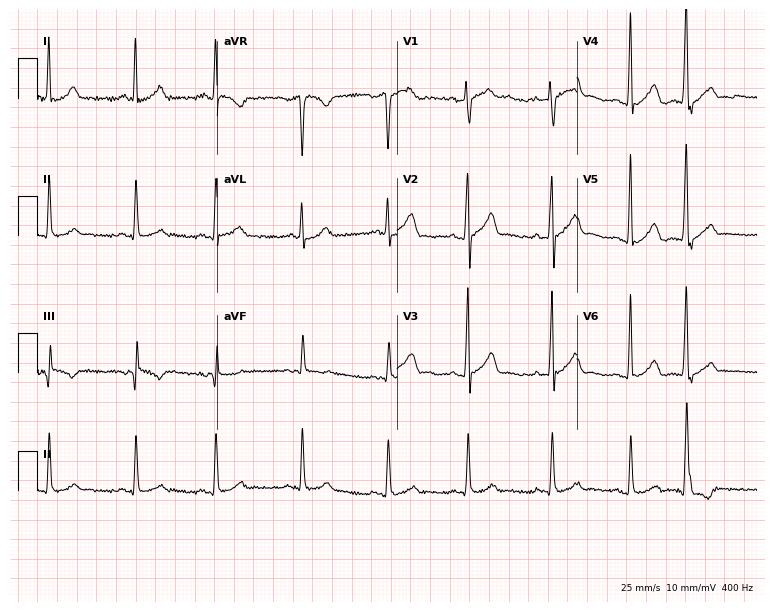
Standard 12-lead ECG recorded from a male, 22 years old. None of these six findings is recorded: first-degree AV block, right bundle branch block, left bundle branch block, sinus bradycardia, atrial fibrillation, sinus tachycardia. Other findings, if any, are not listed.